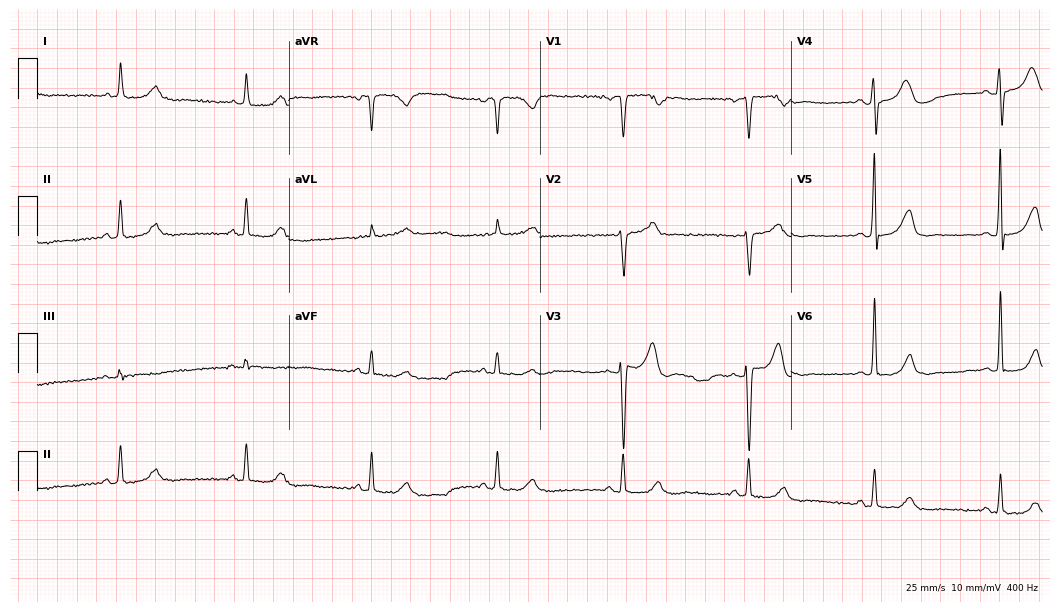
ECG (10.2-second recording at 400 Hz) — an 80-year-old man. Findings include sinus bradycardia (a sinus rate of 50 beats per minute or less).